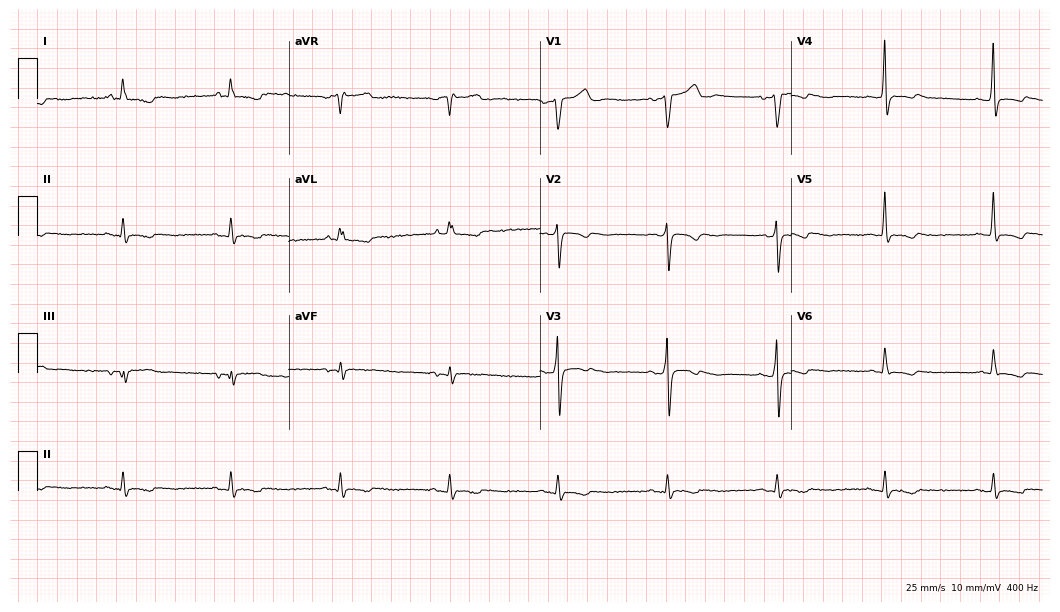
Standard 12-lead ECG recorded from a 47-year-old man (10.2-second recording at 400 Hz). None of these six findings is recorded: first-degree AV block, right bundle branch block (RBBB), left bundle branch block (LBBB), sinus bradycardia, atrial fibrillation (AF), sinus tachycardia.